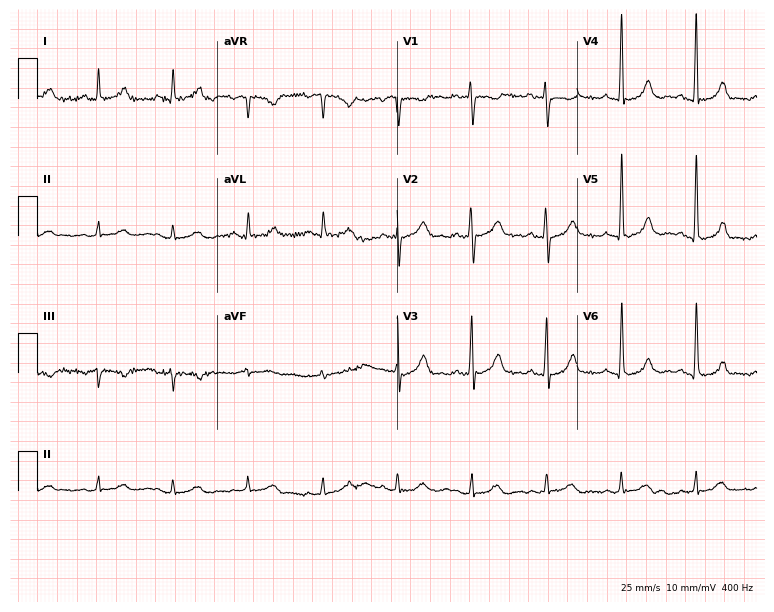
12-lead ECG from a female patient, 60 years old (7.3-second recording at 400 Hz). Recorded interpretation: within normal limits.